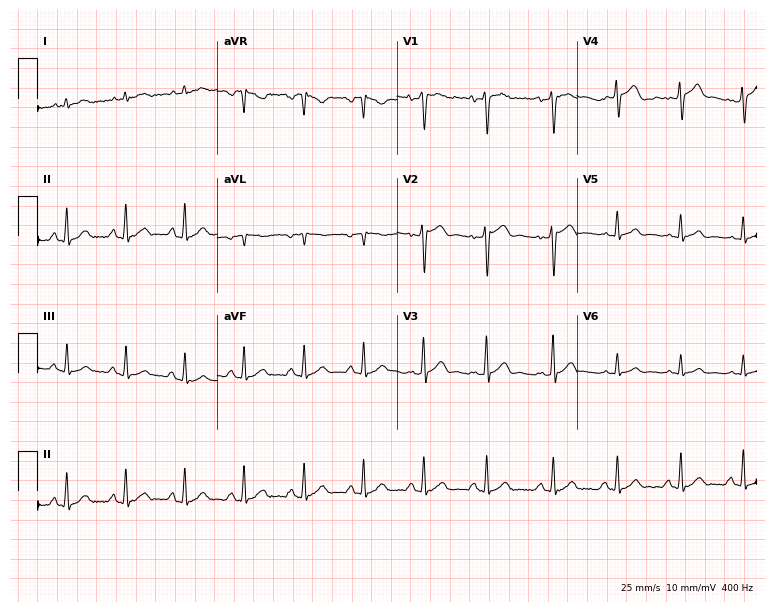
Standard 12-lead ECG recorded from a 36-year-old male. None of these six findings is recorded: first-degree AV block, right bundle branch block (RBBB), left bundle branch block (LBBB), sinus bradycardia, atrial fibrillation (AF), sinus tachycardia. Findings outside these six are not listed.